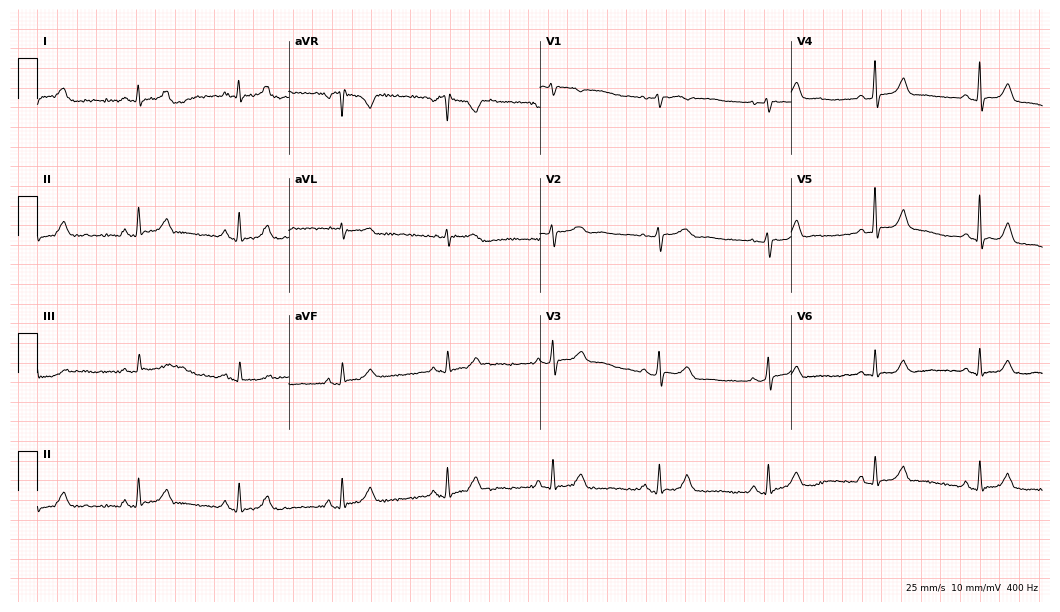
Standard 12-lead ECG recorded from a 57-year-old female. Read as a normal ECG.